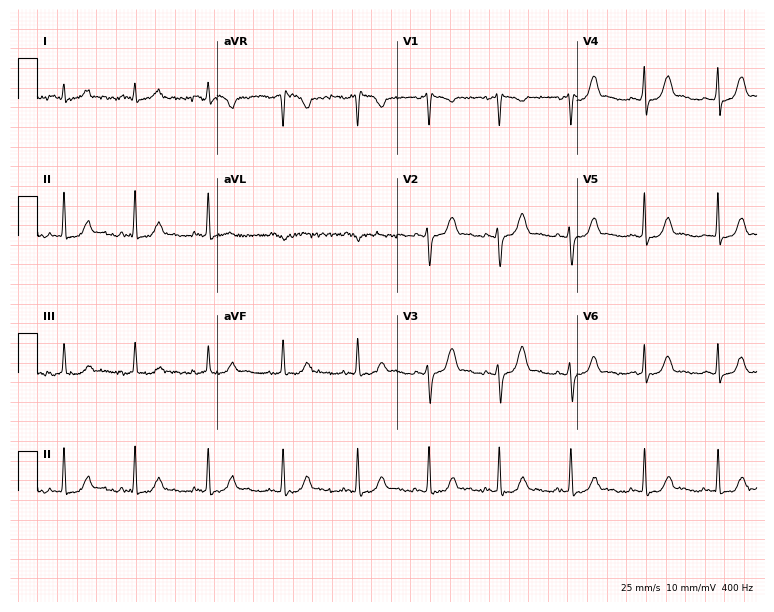
12-lead ECG from a female, 34 years old. Recorded interpretation: within normal limits.